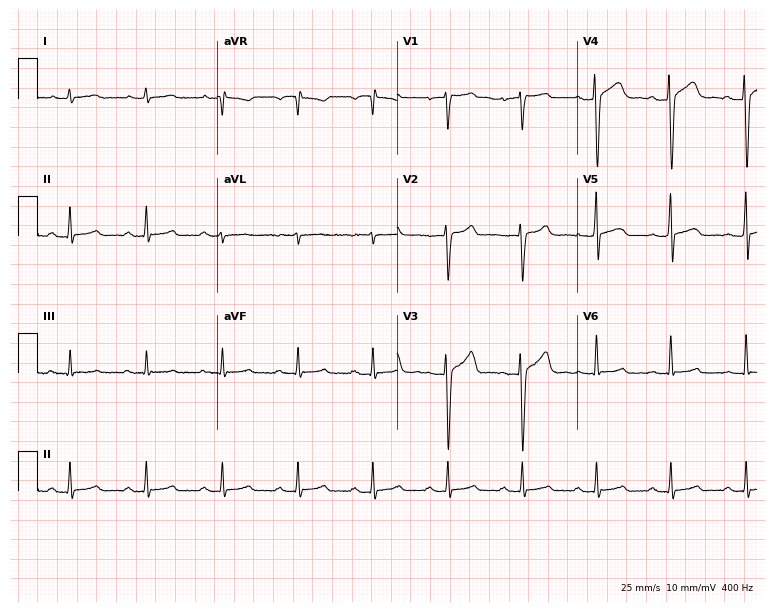
Resting 12-lead electrocardiogram (7.3-second recording at 400 Hz). Patient: a 39-year-old male. None of these six findings is recorded: first-degree AV block, right bundle branch block, left bundle branch block, sinus bradycardia, atrial fibrillation, sinus tachycardia.